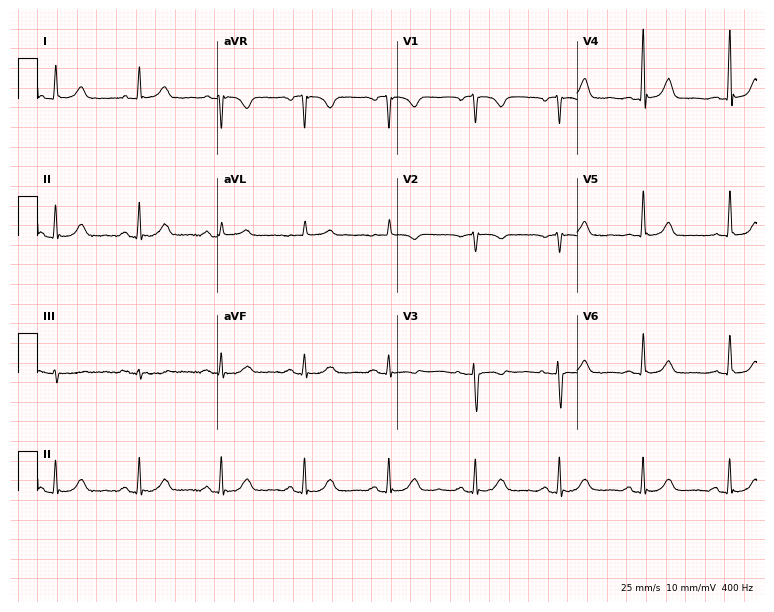
Electrocardiogram, a woman, 66 years old. Overall reading on record: normal ECG.